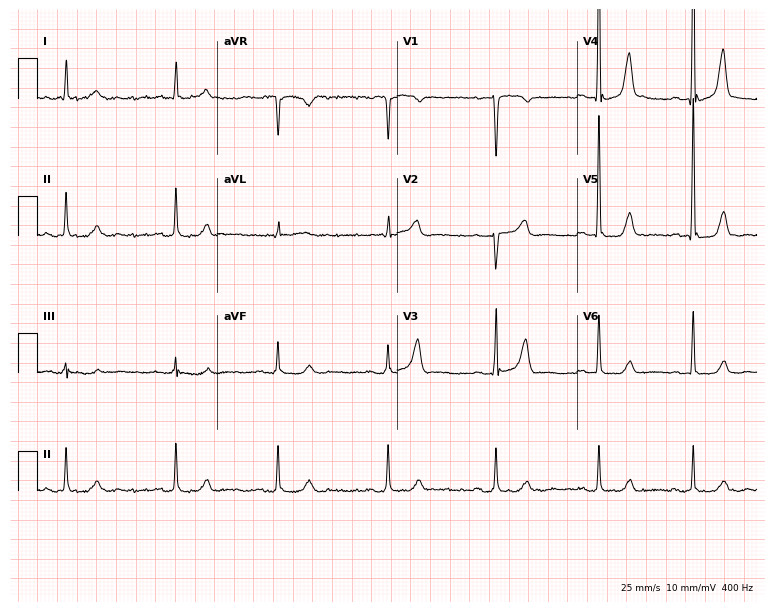
12-lead ECG from a woman, 75 years old. Screened for six findings — first-degree AV block, right bundle branch block, left bundle branch block, sinus bradycardia, atrial fibrillation, sinus tachycardia — none is recorded. Other findings, if any, are not listed.